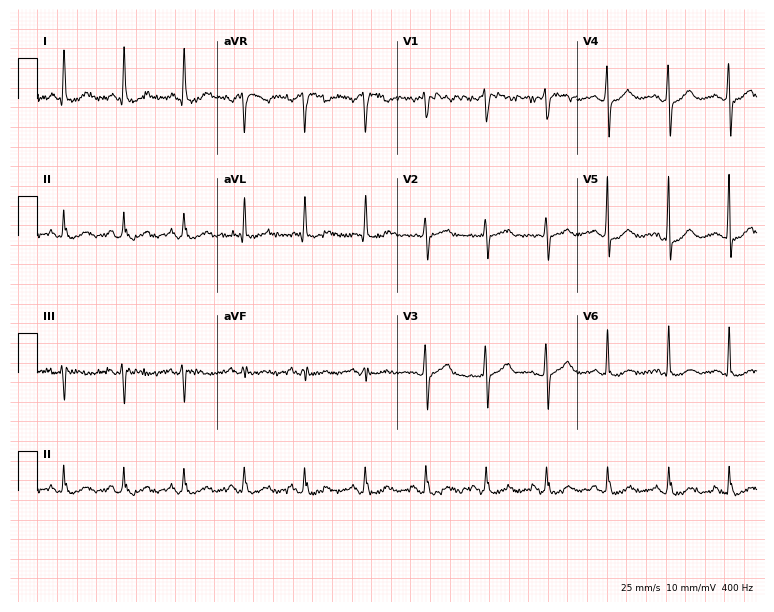
12-lead ECG from a 58-year-old female patient. Labelled as a normal ECG.